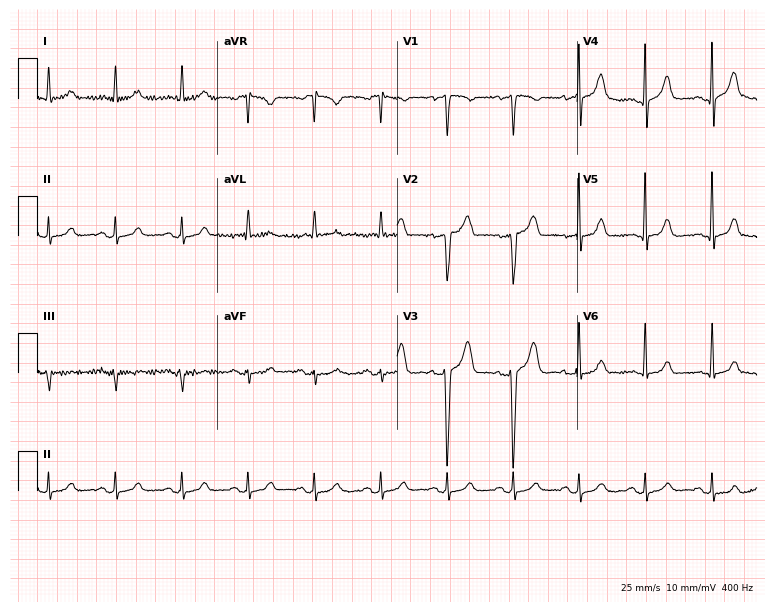
Electrocardiogram, a 75-year-old female patient. Of the six screened findings (first-degree AV block, right bundle branch block, left bundle branch block, sinus bradycardia, atrial fibrillation, sinus tachycardia), none is recorded.